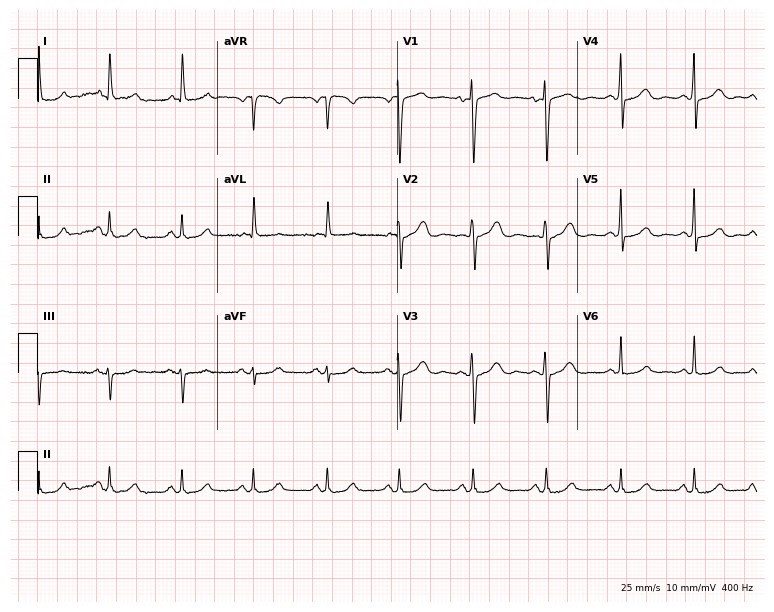
12-lead ECG from a female patient, 62 years old. Recorded interpretation: within normal limits.